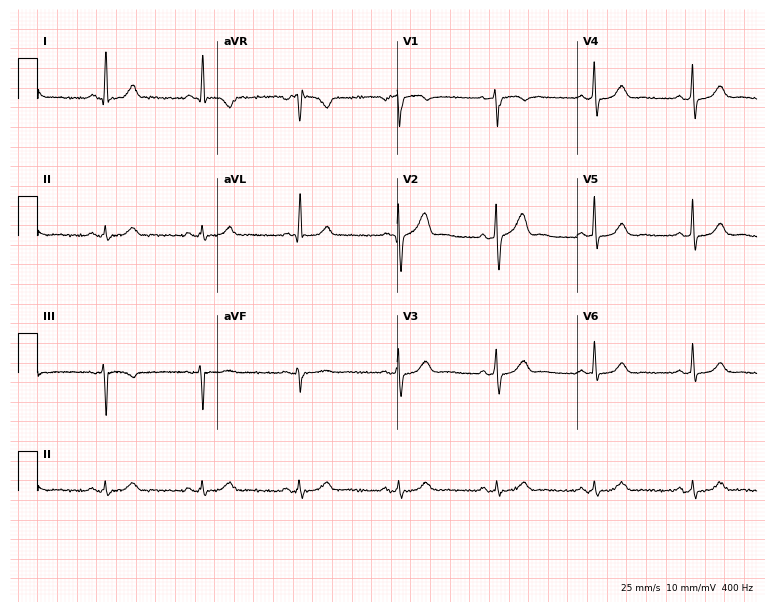
ECG — a male patient, 68 years old. Screened for six findings — first-degree AV block, right bundle branch block (RBBB), left bundle branch block (LBBB), sinus bradycardia, atrial fibrillation (AF), sinus tachycardia — none is recorded.